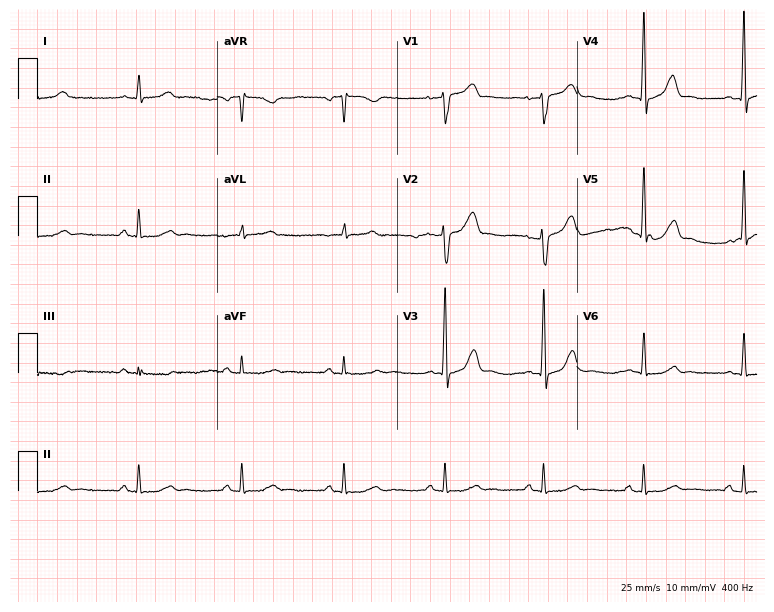
ECG — a man, 64 years old. Screened for six findings — first-degree AV block, right bundle branch block, left bundle branch block, sinus bradycardia, atrial fibrillation, sinus tachycardia — none is recorded. Only these six findings were labelled.